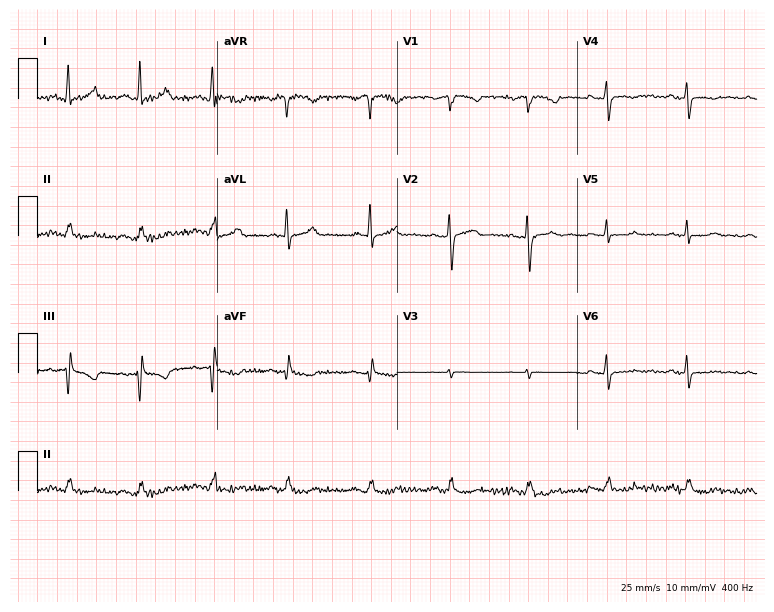
12-lead ECG from a 56-year-old female patient (7.3-second recording at 400 Hz). No first-degree AV block, right bundle branch block (RBBB), left bundle branch block (LBBB), sinus bradycardia, atrial fibrillation (AF) or sinus tachycardia recorded for this tracing. Findings outside these six are not listed.